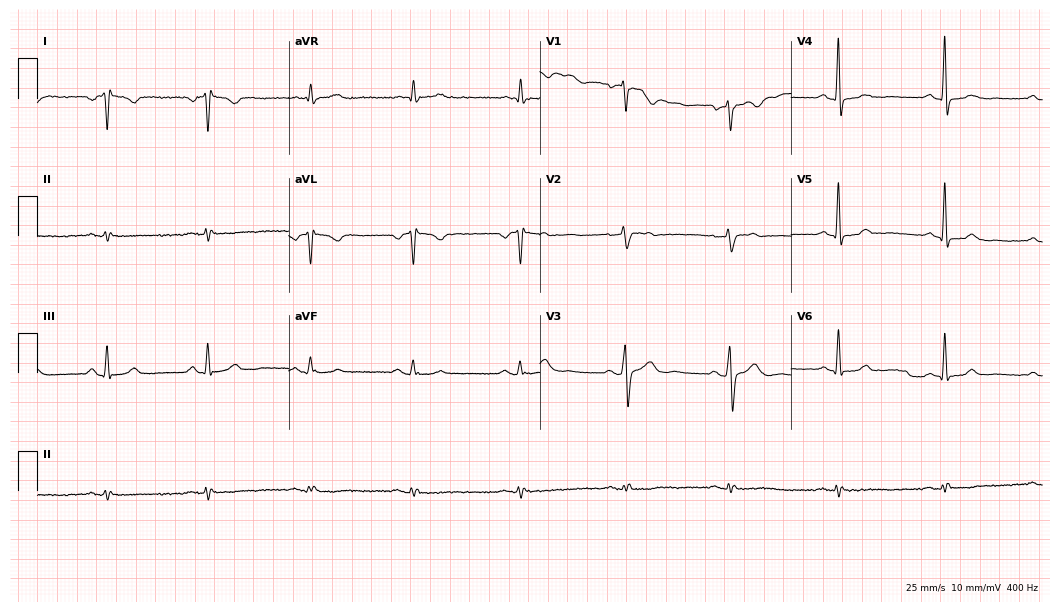
Resting 12-lead electrocardiogram (10.2-second recording at 400 Hz). Patient: a 44-year-old man. None of these six findings is recorded: first-degree AV block, right bundle branch block, left bundle branch block, sinus bradycardia, atrial fibrillation, sinus tachycardia.